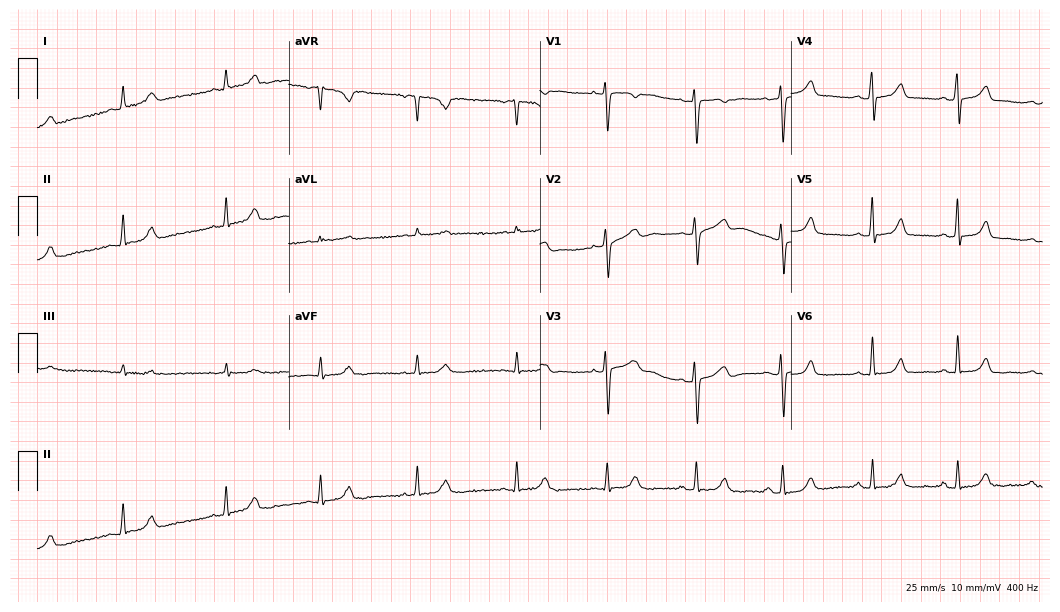
Electrocardiogram, a woman, 41 years old. Of the six screened findings (first-degree AV block, right bundle branch block (RBBB), left bundle branch block (LBBB), sinus bradycardia, atrial fibrillation (AF), sinus tachycardia), none is recorded.